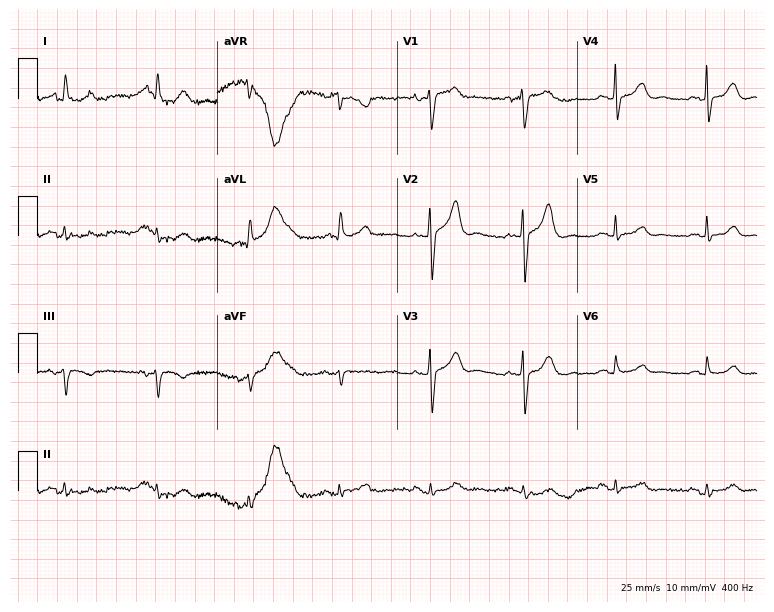
Electrocardiogram (7.3-second recording at 400 Hz), a female, 81 years old. Of the six screened findings (first-degree AV block, right bundle branch block (RBBB), left bundle branch block (LBBB), sinus bradycardia, atrial fibrillation (AF), sinus tachycardia), none is recorded. Other findings, if any, are not listed.